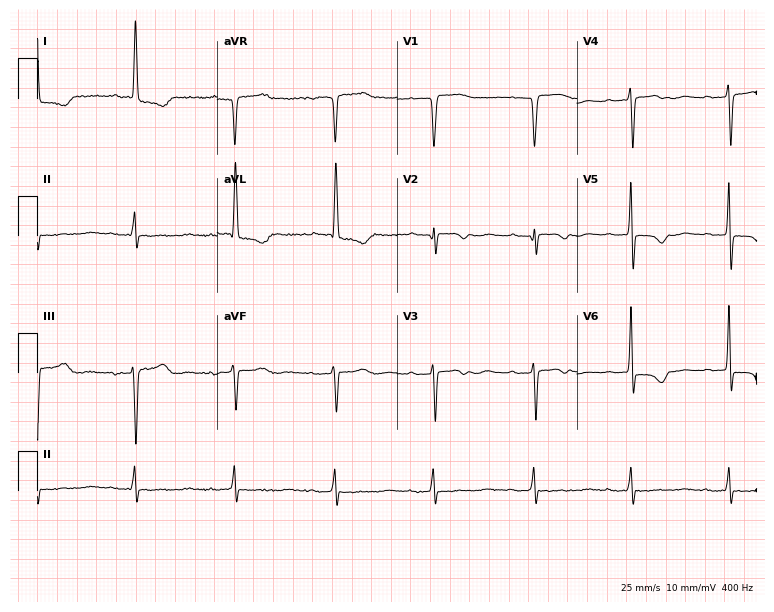
12-lead ECG from an 84-year-old female (7.3-second recording at 400 Hz). Shows first-degree AV block.